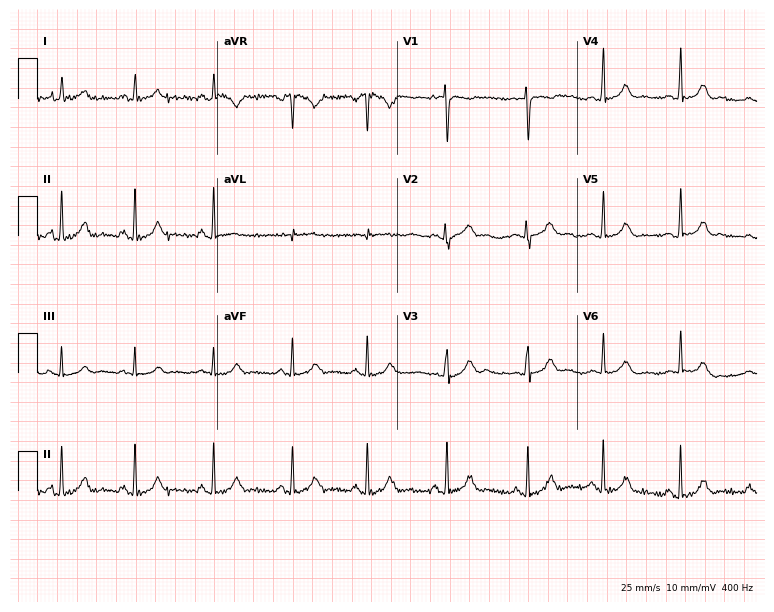
12-lead ECG (7.3-second recording at 400 Hz) from a woman, 30 years old. Labelled as a normal ECG.